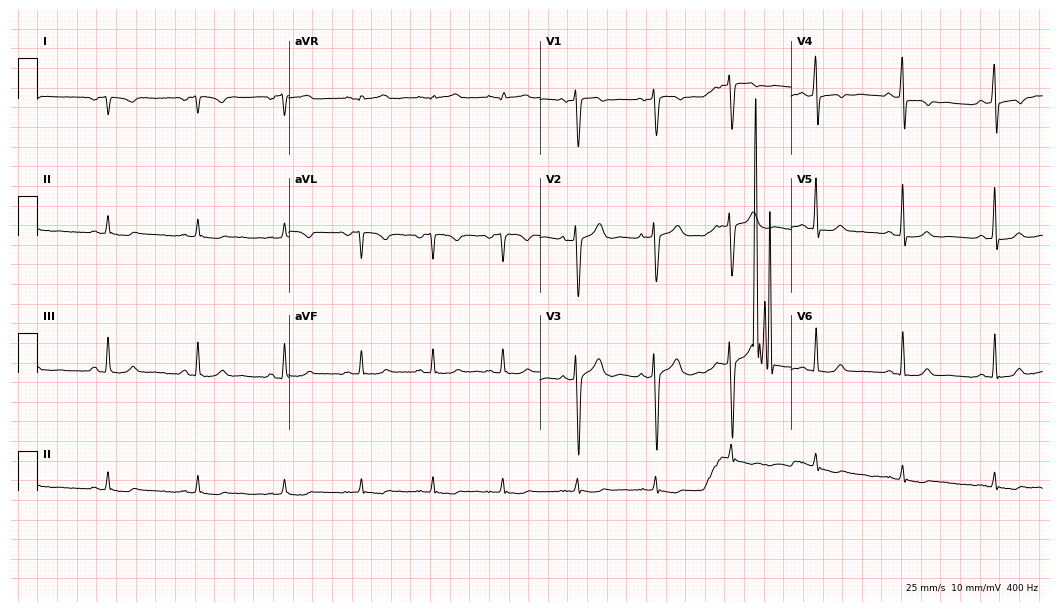
Resting 12-lead electrocardiogram (10.2-second recording at 400 Hz). Patient: a 27-year-old female. None of these six findings is recorded: first-degree AV block, right bundle branch block, left bundle branch block, sinus bradycardia, atrial fibrillation, sinus tachycardia.